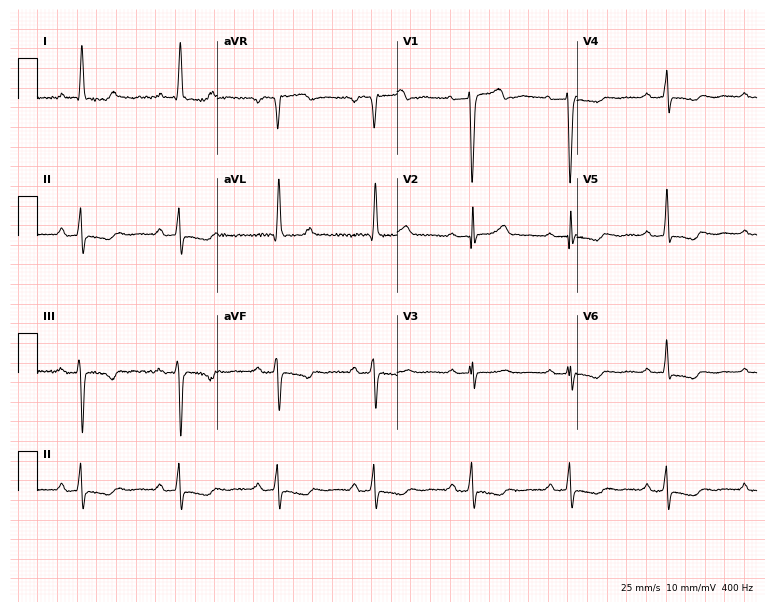
Electrocardiogram, a woman, 79 years old. Interpretation includes first-degree AV block.